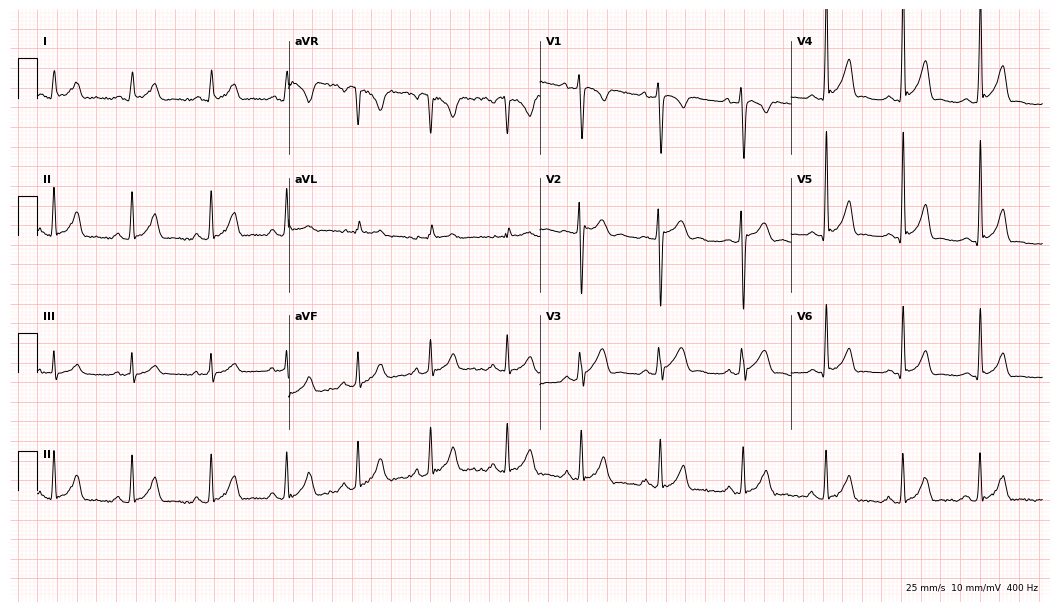
Resting 12-lead electrocardiogram (10.2-second recording at 400 Hz). Patient: a 19-year-old man. Read as a normal ECG.